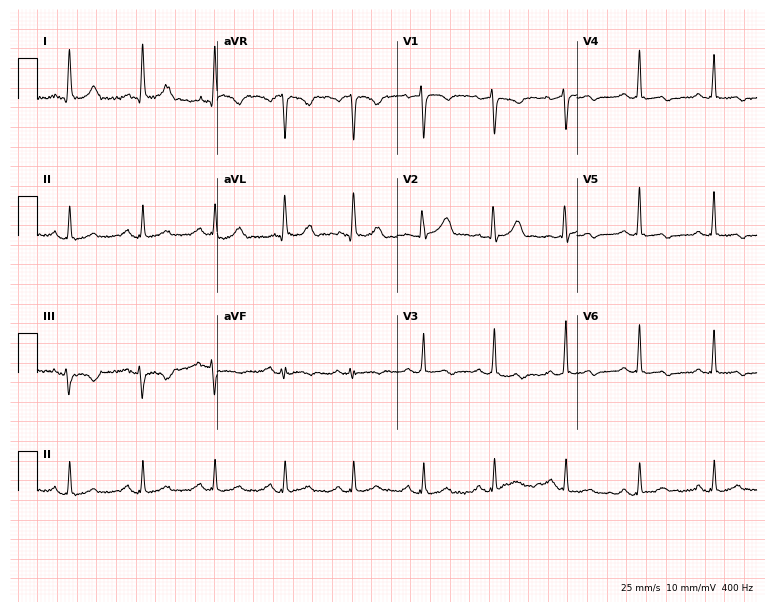
12-lead ECG from a female patient, 49 years old. Screened for six findings — first-degree AV block, right bundle branch block, left bundle branch block, sinus bradycardia, atrial fibrillation, sinus tachycardia — none is recorded. Findings outside these six are not listed.